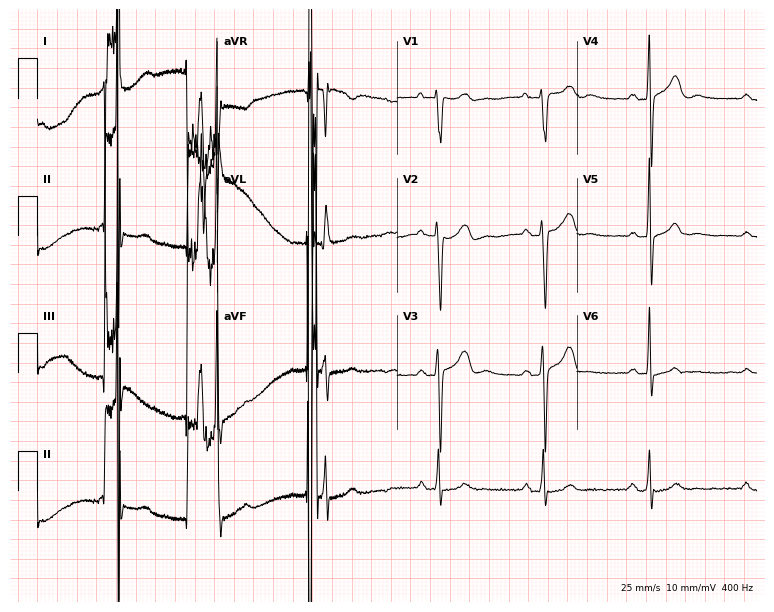
12-lead ECG from a male patient, 62 years old. Recorded interpretation: within normal limits.